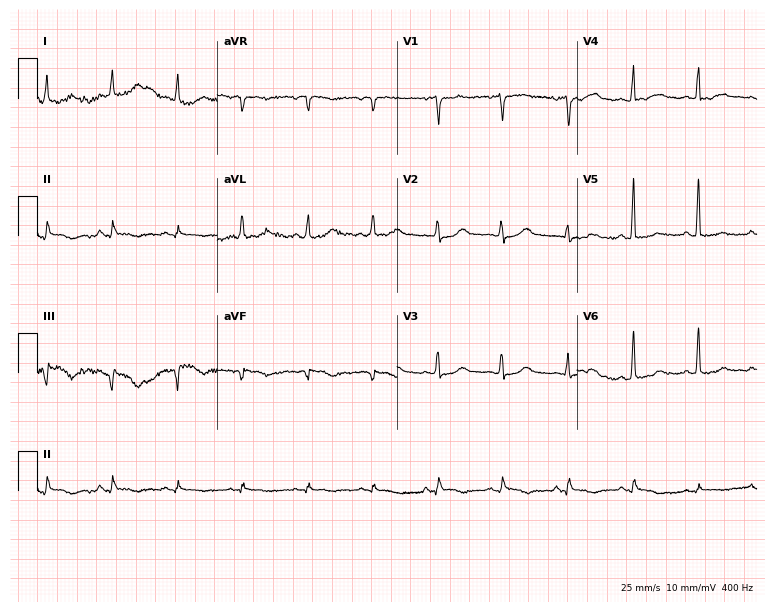
Resting 12-lead electrocardiogram. Patient: a female, 62 years old. None of these six findings is recorded: first-degree AV block, right bundle branch block (RBBB), left bundle branch block (LBBB), sinus bradycardia, atrial fibrillation (AF), sinus tachycardia.